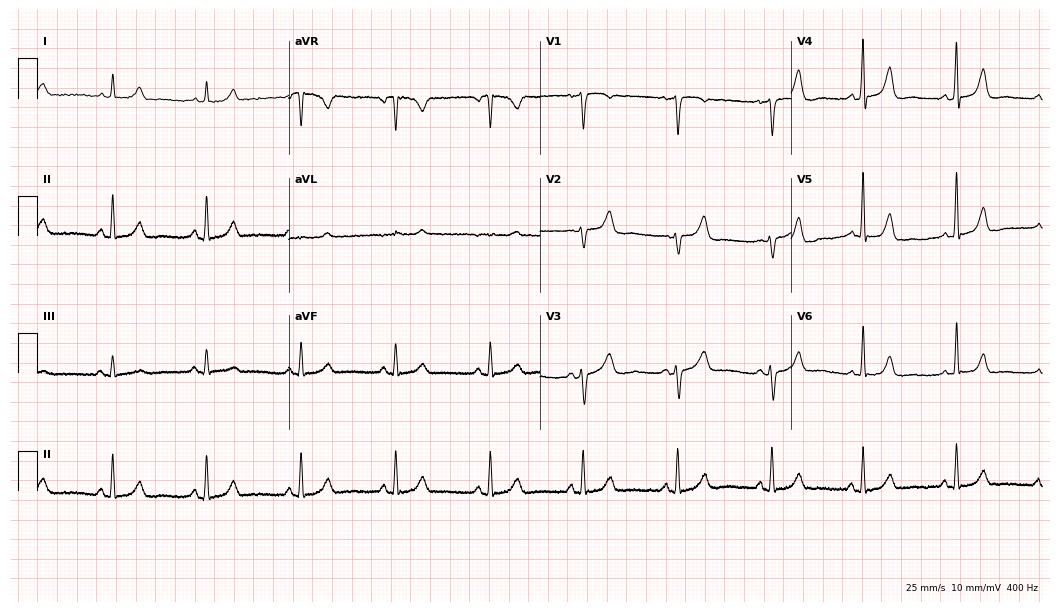
Standard 12-lead ECG recorded from a female, 60 years old (10.2-second recording at 400 Hz). Read as a normal ECG.